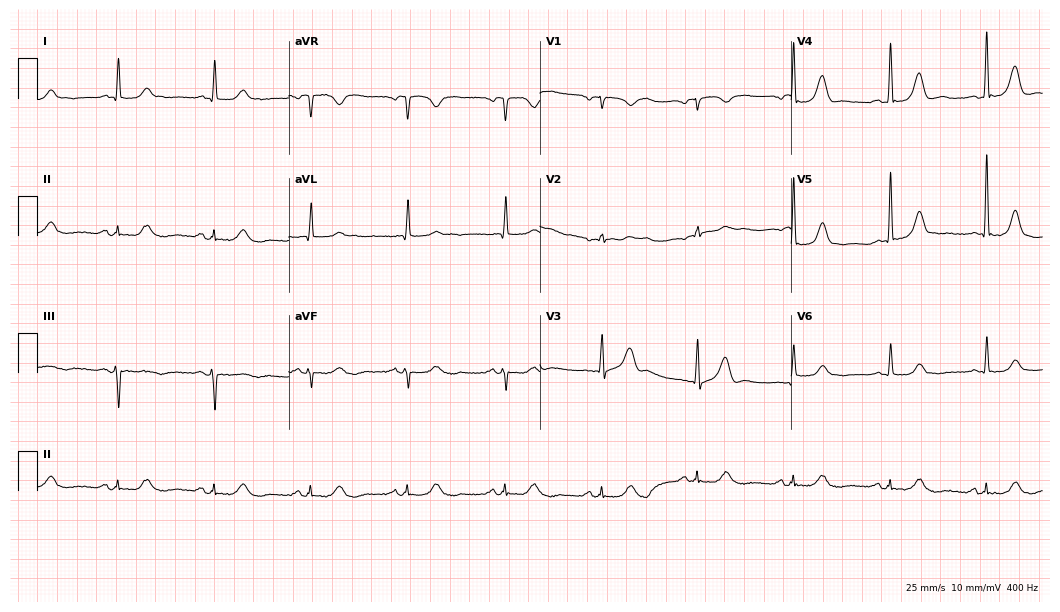
ECG — an 84-year-old woman. Labelled as a normal ECG.